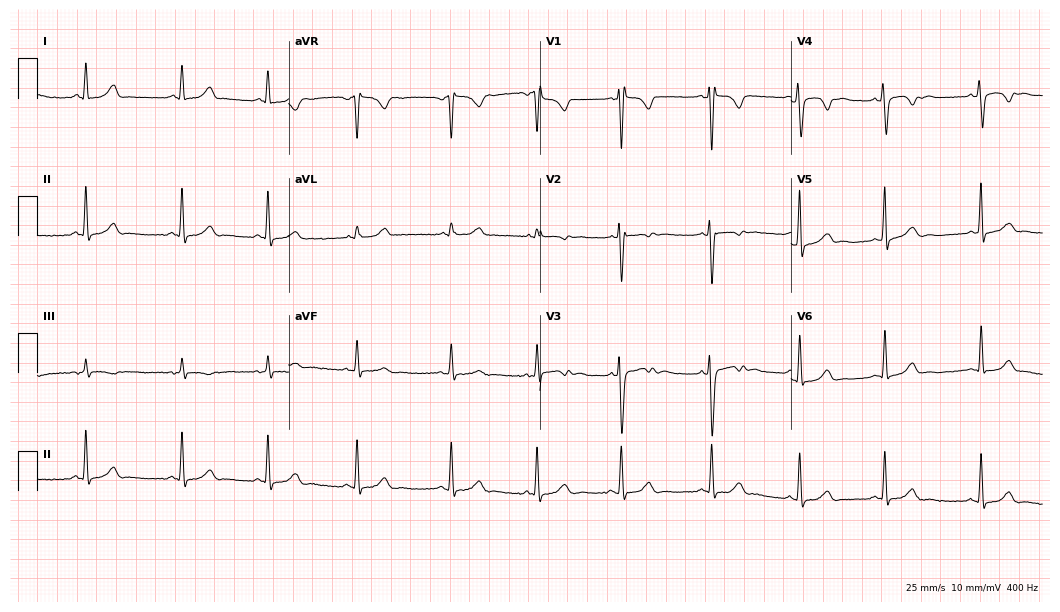
Resting 12-lead electrocardiogram (10.2-second recording at 400 Hz). Patient: a female, 30 years old. None of these six findings is recorded: first-degree AV block, right bundle branch block, left bundle branch block, sinus bradycardia, atrial fibrillation, sinus tachycardia.